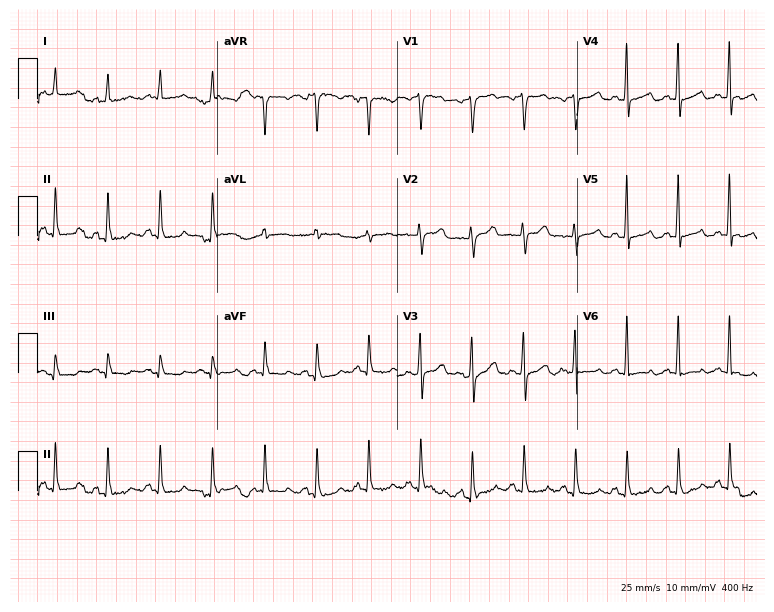
ECG — a 61-year-old woman. Findings include sinus tachycardia (a sinus rate of 100 beats per minute or more).